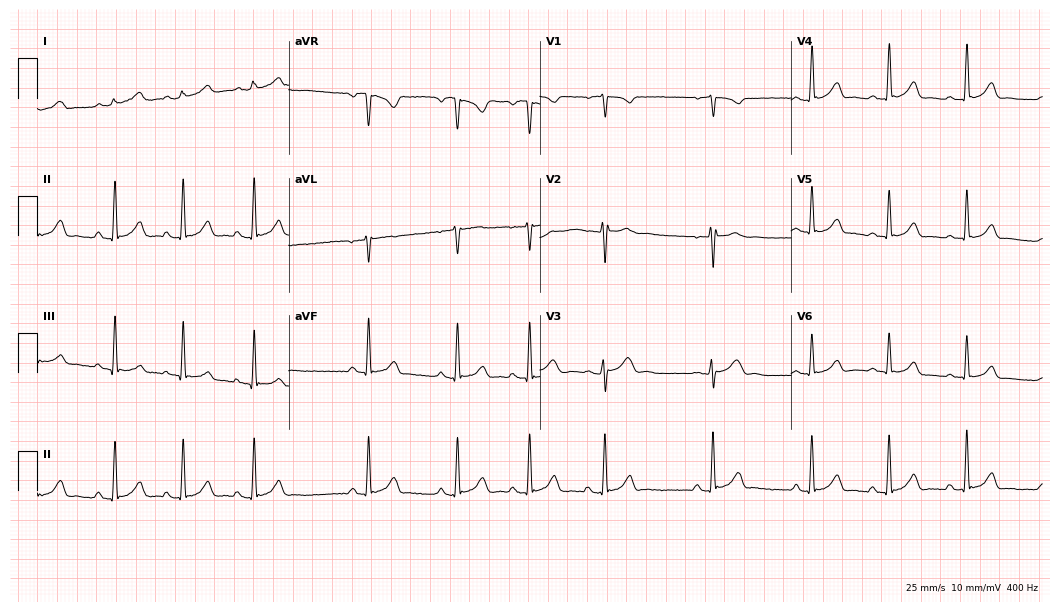
ECG (10.2-second recording at 400 Hz) — a woman, 21 years old. Labelled as a normal ECG.